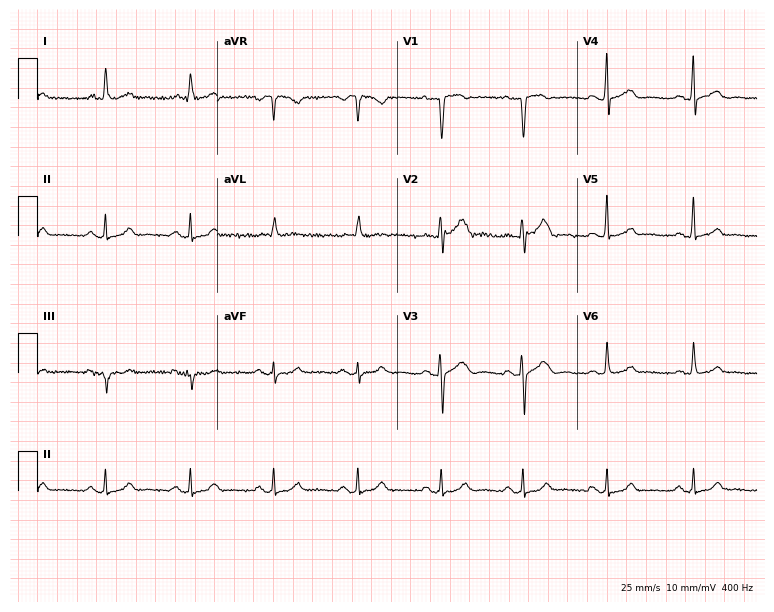
12-lead ECG from a man, 63 years old. Labelled as a normal ECG.